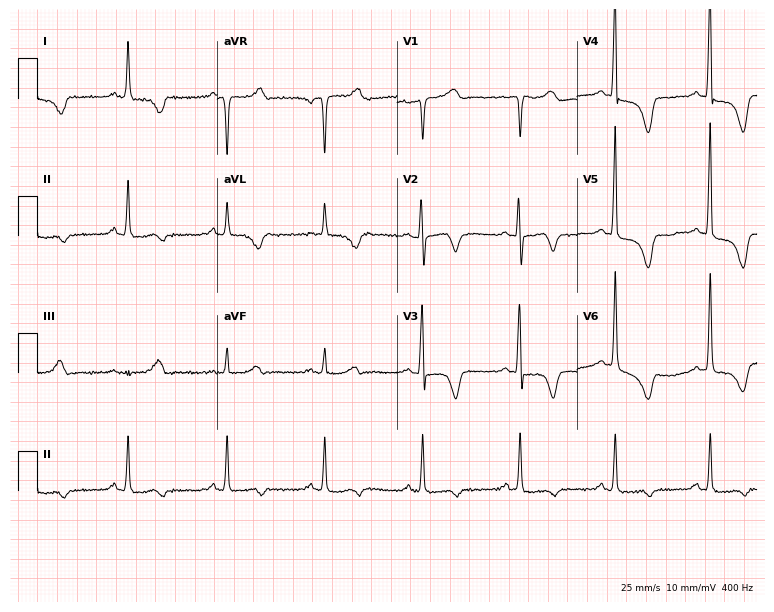
ECG (7.3-second recording at 400 Hz) — a 60-year-old female patient. Screened for six findings — first-degree AV block, right bundle branch block, left bundle branch block, sinus bradycardia, atrial fibrillation, sinus tachycardia — none is recorded. Other findings, if any, are not listed.